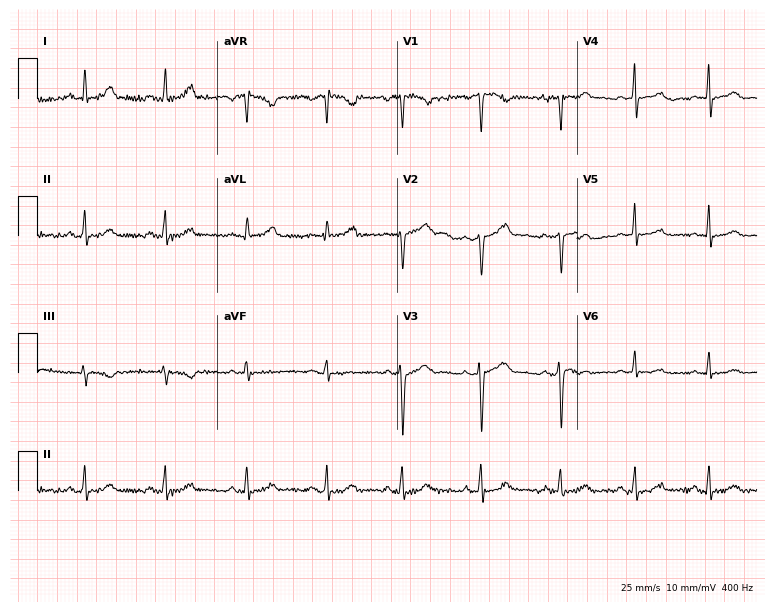
12-lead ECG from a woman, 46 years old. Screened for six findings — first-degree AV block, right bundle branch block, left bundle branch block, sinus bradycardia, atrial fibrillation, sinus tachycardia — none is recorded.